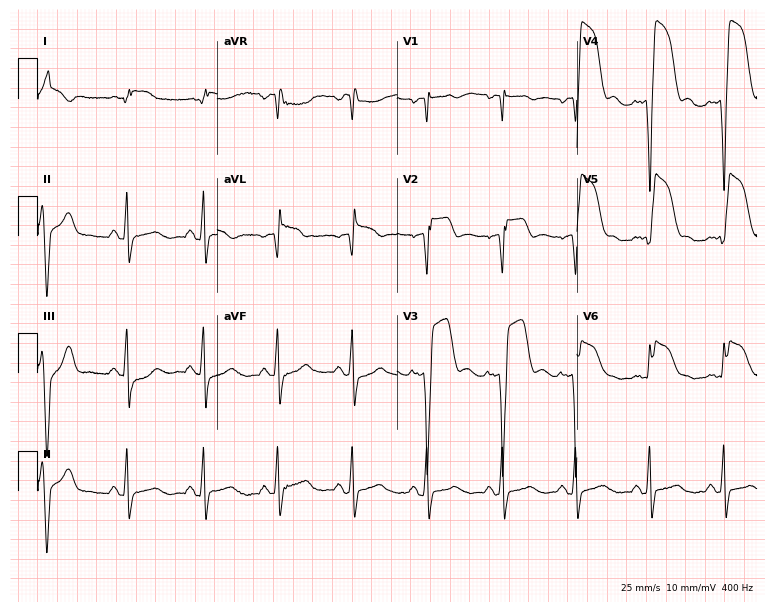
12-lead ECG from a 42-year-old man (7.3-second recording at 400 Hz). No first-degree AV block, right bundle branch block, left bundle branch block, sinus bradycardia, atrial fibrillation or sinus tachycardia recorded for this tracing. Only these six findings were labelled.